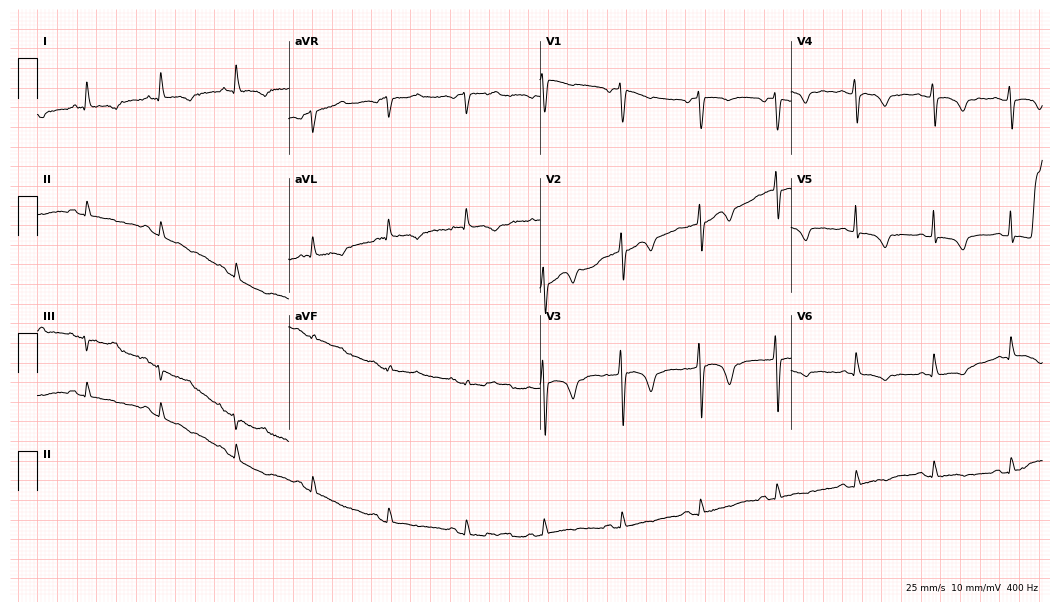
Resting 12-lead electrocardiogram. Patient: a woman, 75 years old. None of these six findings is recorded: first-degree AV block, right bundle branch block, left bundle branch block, sinus bradycardia, atrial fibrillation, sinus tachycardia. Only these six findings were labelled.